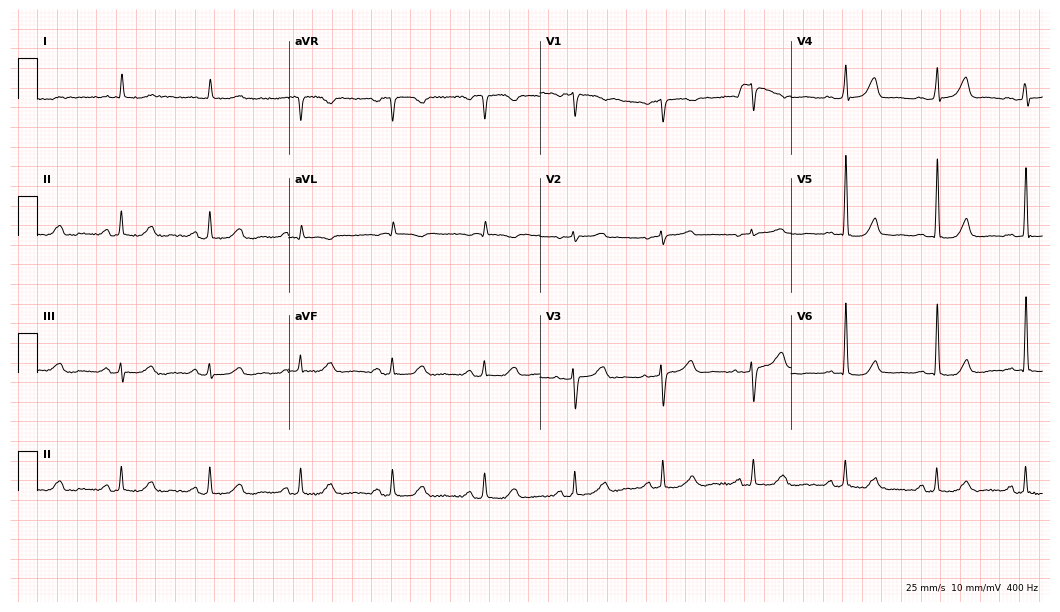
Electrocardiogram, an 83-year-old female patient. Of the six screened findings (first-degree AV block, right bundle branch block (RBBB), left bundle branch block (LBBB), sinus bradycardia, atrial fibrillation (AF), sinus tachycardia), none is recorded.